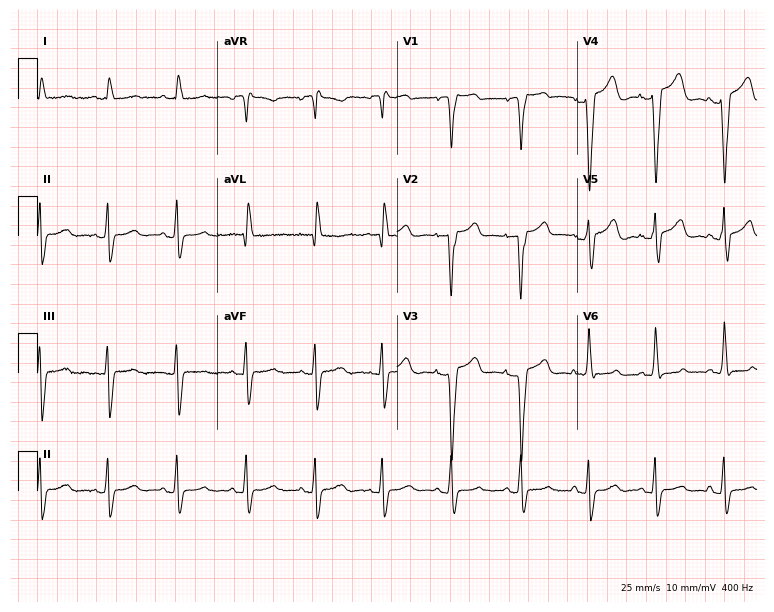
12-lead ECG from a 76-year-old female. Screened for six findings — first-degree AV block, right bundle branch block, left bundle branch block, sinus bradycardia, atrial fibrillation, sinus tachycardia — none is recorded.